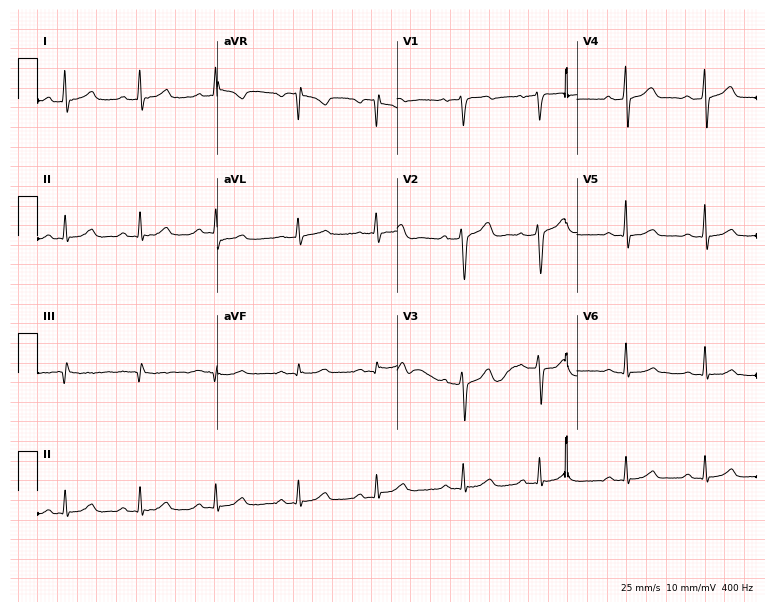
12-lead ECG from a 38-year-old male patient. Screened for six findings — first-degree AV block, right bundle branch block, left bundle branch block, sinus bradycardia, atrial fibrillation, sinus tachycardia — none is recorded.